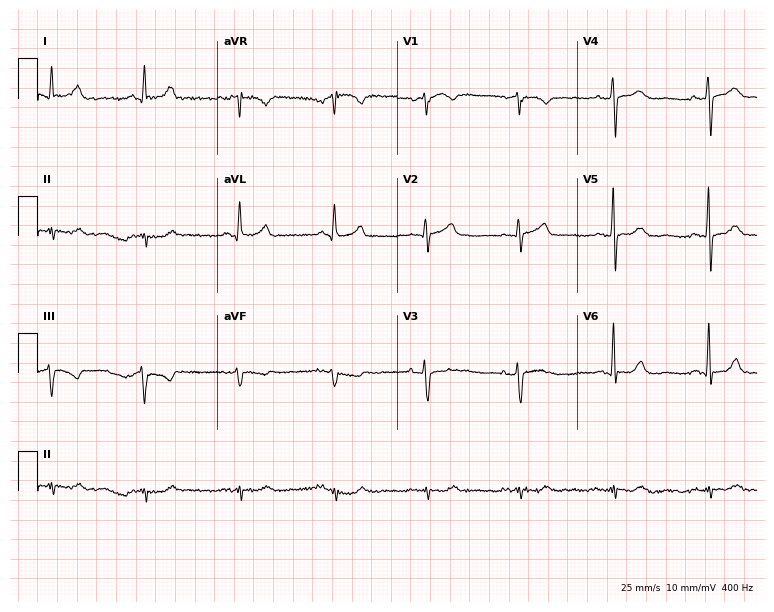
ECG — a 50-year-old female patient. Screened for six findings — first-degree AV block, right bundle branch block, left bundle branch block, sinus bradycardia, atrial fibrillation, sinus tachycardia — none is recorded. Only these six findings were labelled.